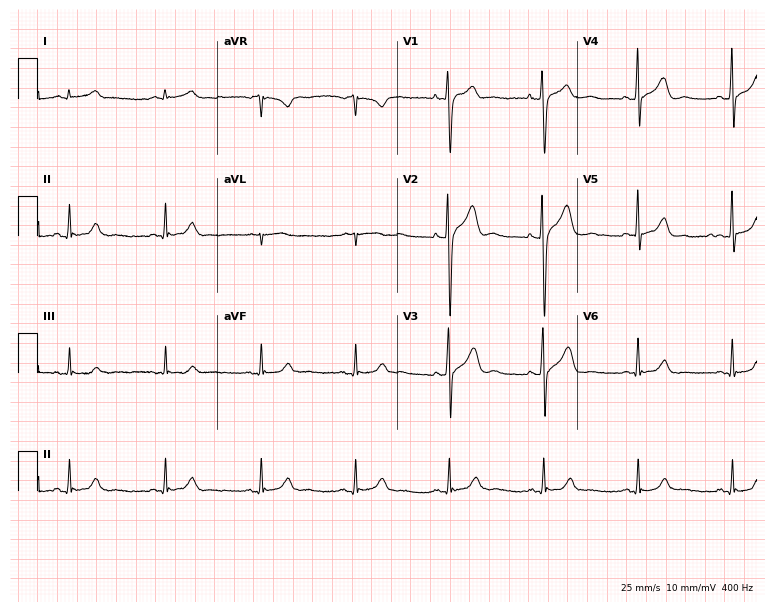
12-lead ECG from a male patient, 48 years old. Recorded interpretation: within normal limits.